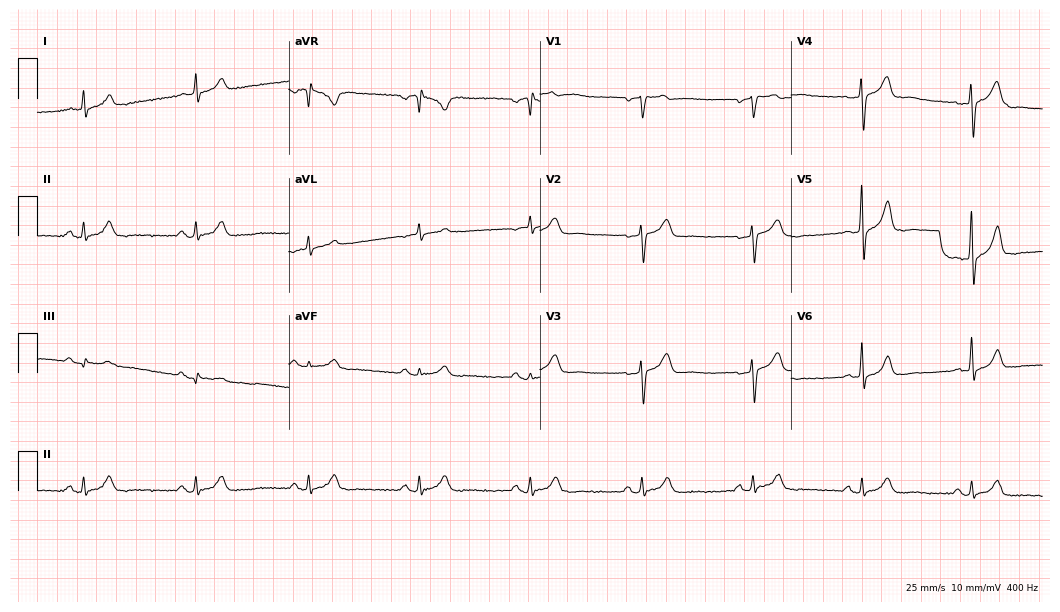
Electrocardiogram (10.2-second recording at 400 Hz), a 49-year-old male. Overall reading on record: normal ECG.